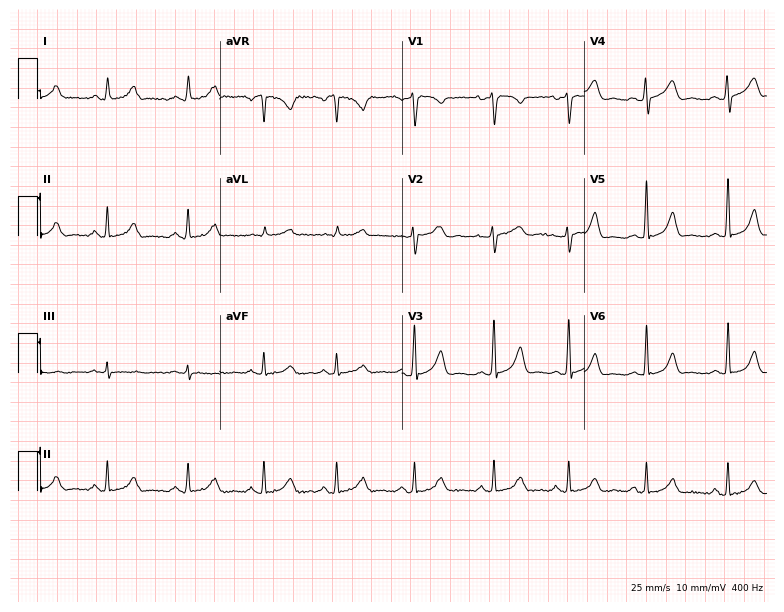
ECG (7.4-second recording at 400 Hz) — a female patient, 30 years old. Labelled as a normal ECG.